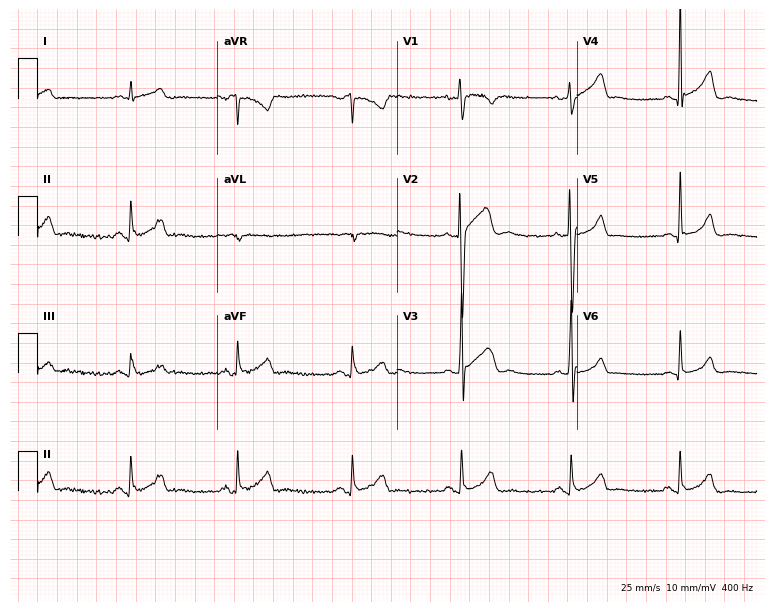
Electrocardiogram, a 33-year-old male. Overall reading on record: normal ECG.